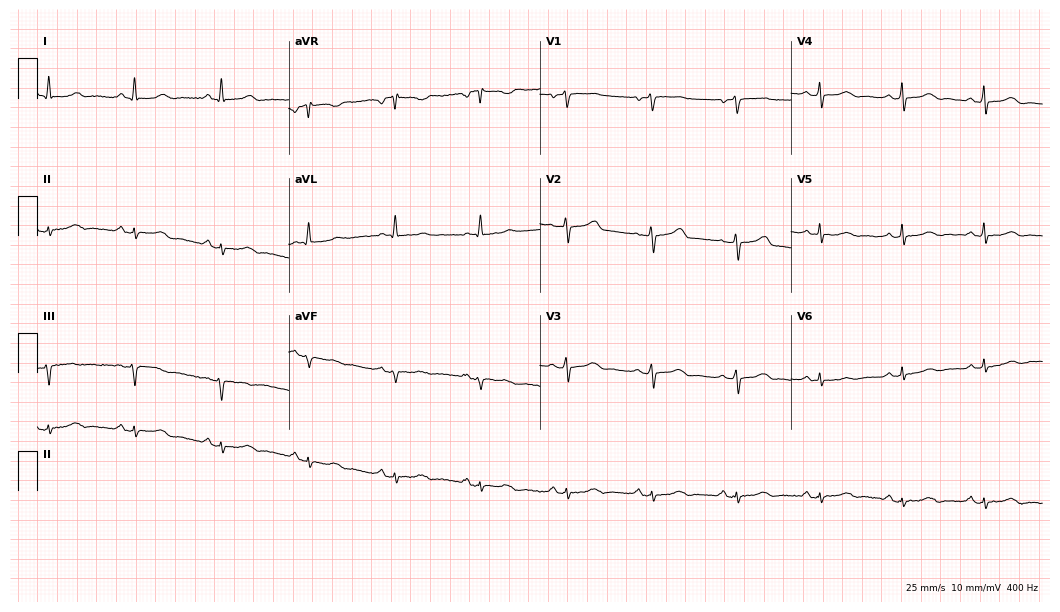
12-lead ECG from a female patient, 70 years old. Labelled as a normal ECG.